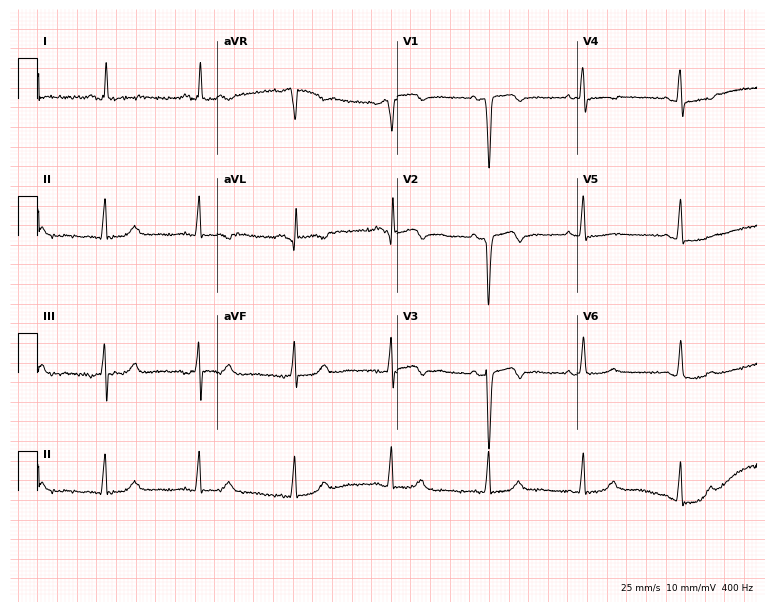
12-lead ECG from a female patient, 55 years old (7.3-second recording at 400 Hz). No first-degree AV block, right bundle branch block, left bundle branch block, sinus bradycardia, atrial fibrillation or sinus tachycardia recorded for this tracing.